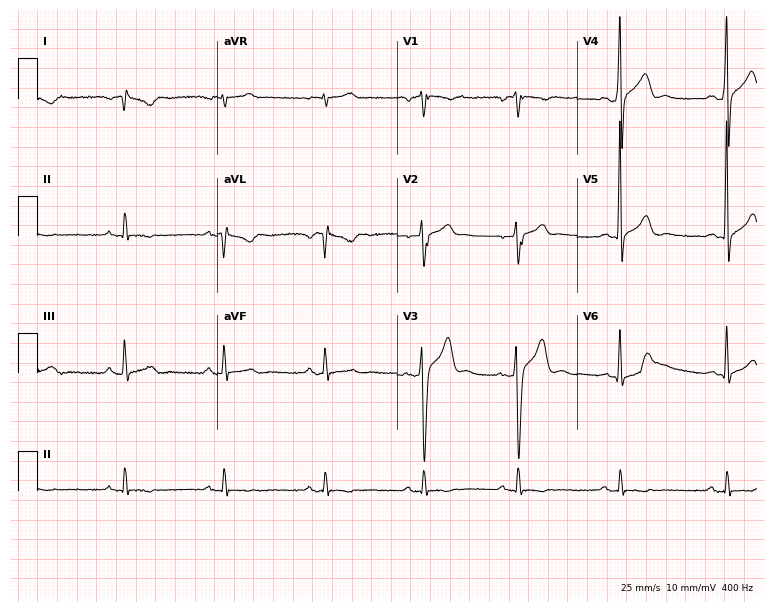
12-lead ECG (7.3-second recording at 400 Hz) from a 25-year-old male patient. Screened for six findings — first-degree AV block, right bundle branch block, left bundle branch block, sinus bradycardia, atrial fibrillation, sinus tachycardia — none is recorded. Findings outside these six are not listed.